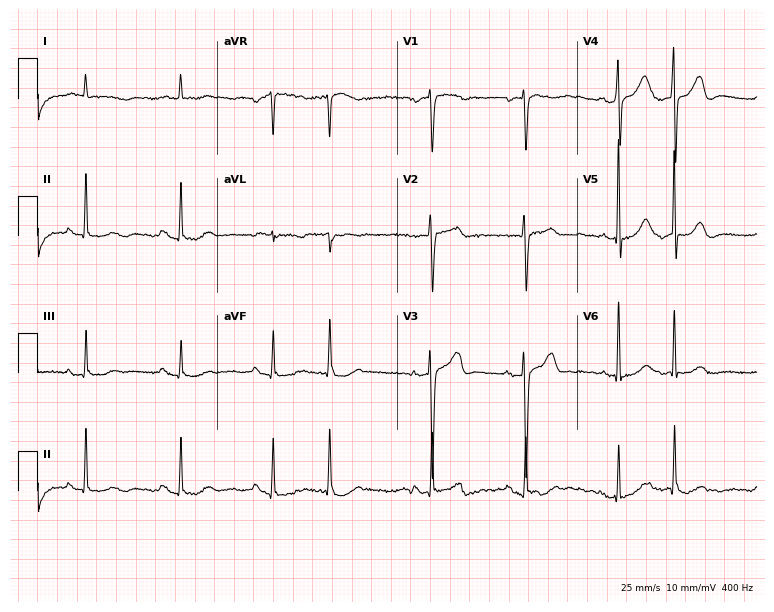
Resting 12-lead electrocardiogram. Patient: a 74-year-old woman. Read as a normal ECG.